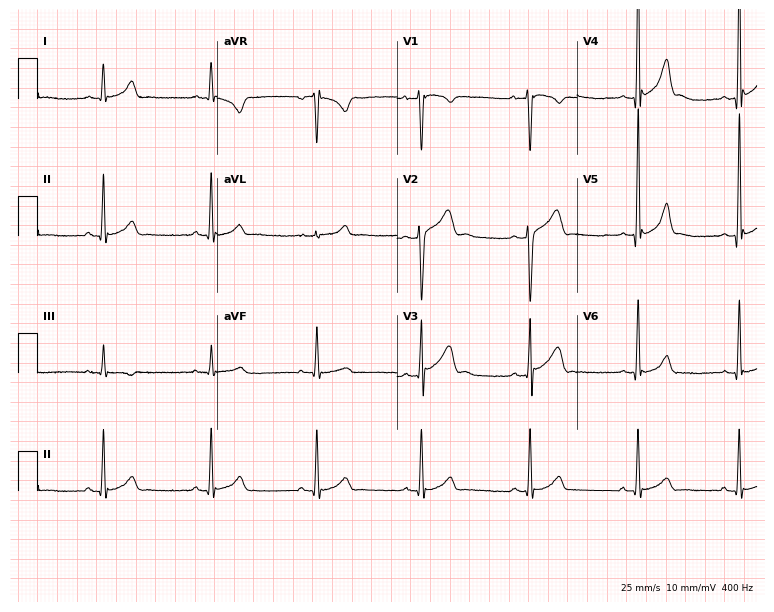
Electrocardiogram, a man, 20 years old. Overall reading on record: normal ECG.